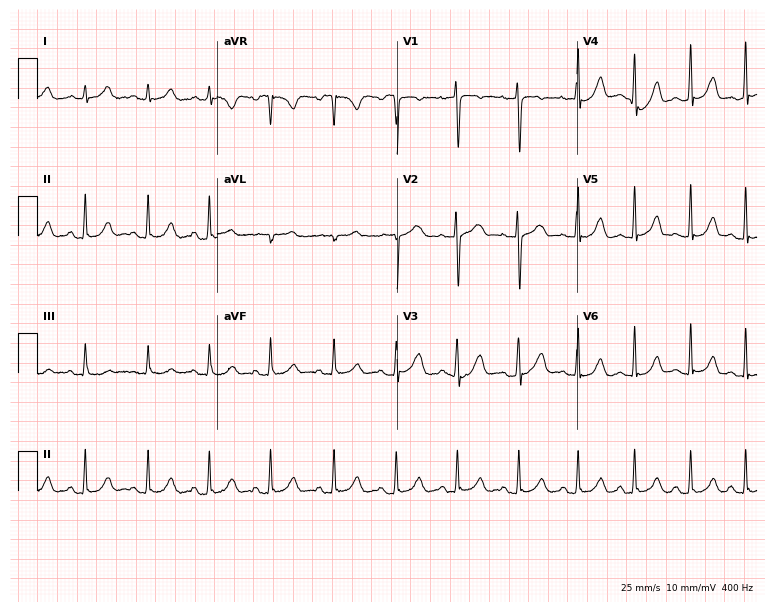
ECG — an 18-year-old female. Labelled as a normal ECG.